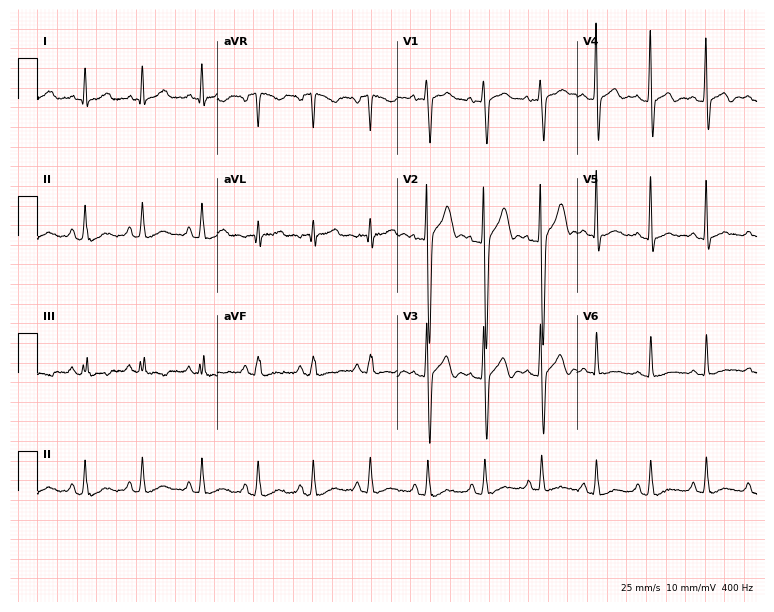
ECG — a 17-year-old male. Screened for six findings — first-degree AV block, right bundle branch block (RBBB), left bundle branch block (LBBB), sinus bradycardia, atrial fibrillation (AF), sinus tachycardia — none is recorded. Findings outside these six are not listed.